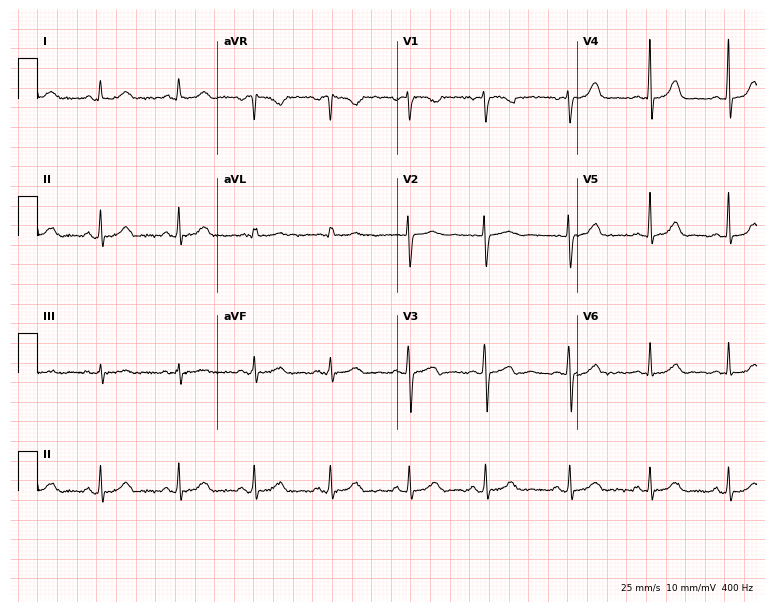
12-lead ECG from a female, 32 years old. Recorded interpretation: within normal limits.